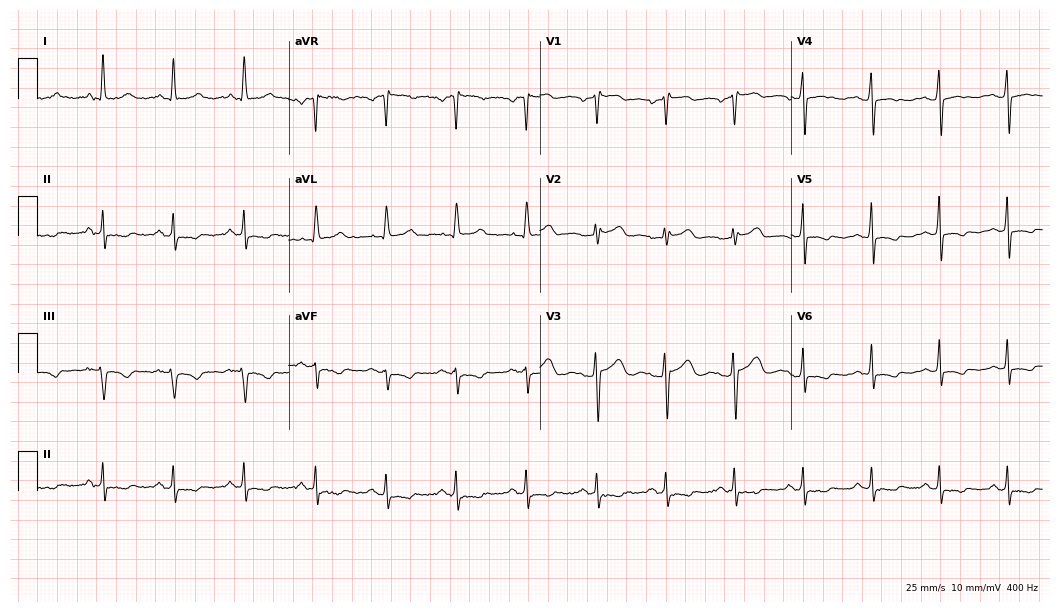
12-lead ECG from a woman, 57 years old. Screened for six findings — first-degree AV block, right bundle branch block, left bundle branch block, sinus bradycardia, atrial fibrillation, sinus tachycardia — none is recorded.